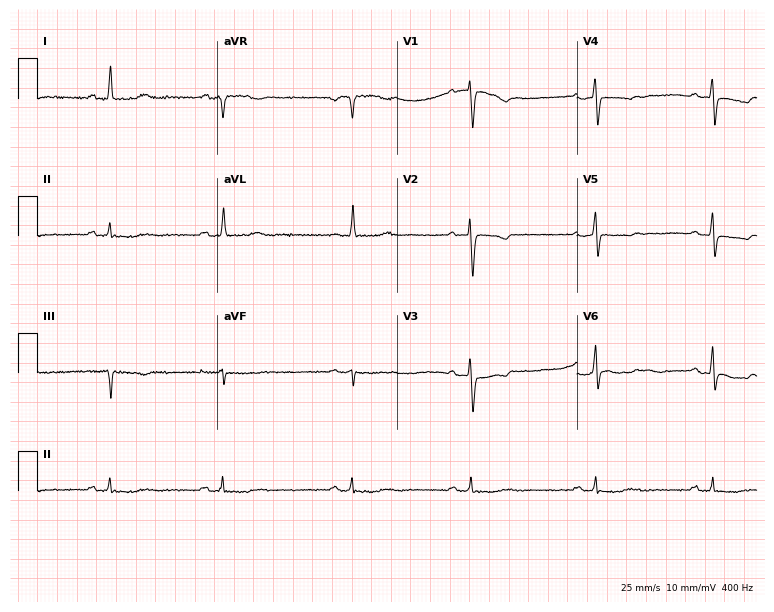
Standard 12-lead ECG recorded from a female patient, 70 years old. The tracing shows sinus bradycardia (a sinus rate of 50 beats per minute or less).